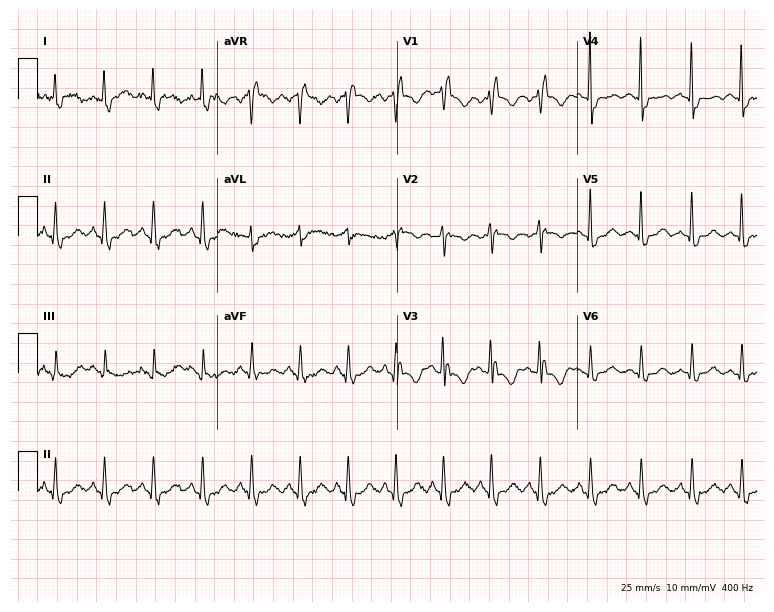
Resting 12-lead electrocardiogram (7.3-second recording at 400 Hz). Patient: a female, 46 years old. The tracing shows right bundle branch block, sinus tachycardia (a sinus rate of 100 beats per minute or more).